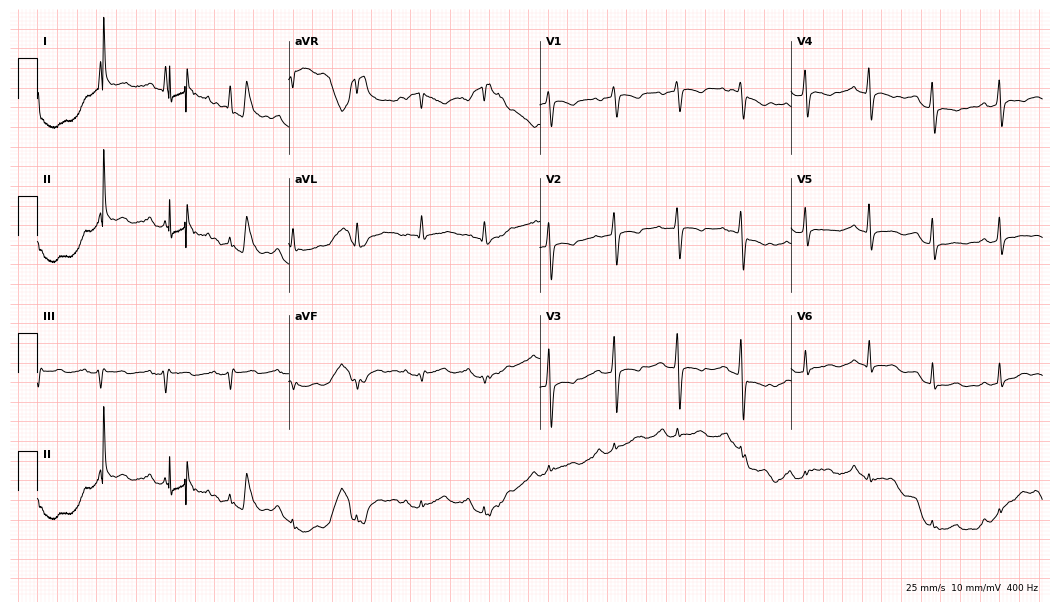
ECG — a 73-year-old woman. Screened for six findings — first-degree AV block, right bundle branch block, left bundle branch block, sinus bradycardia, atrial fibrillation, sinus tachycardia — none is recorded. Other findings, if any, are not listed.